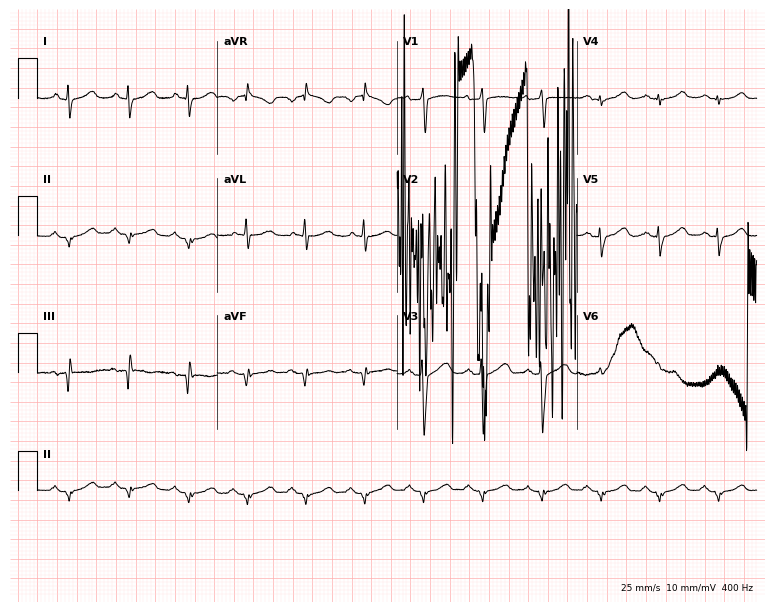
12-lead ECG (7.3-second recording at 400 Hz) from a male patient, 47 years old. Screened for six findings — first-degree AV block, right bundle branch block (RBBB), left bundle branch block (LBBB), sinus bradycardia, atrial fibrillation (AF), sinus tachycardia — none is recorded. Other findings, if any, are not listed.